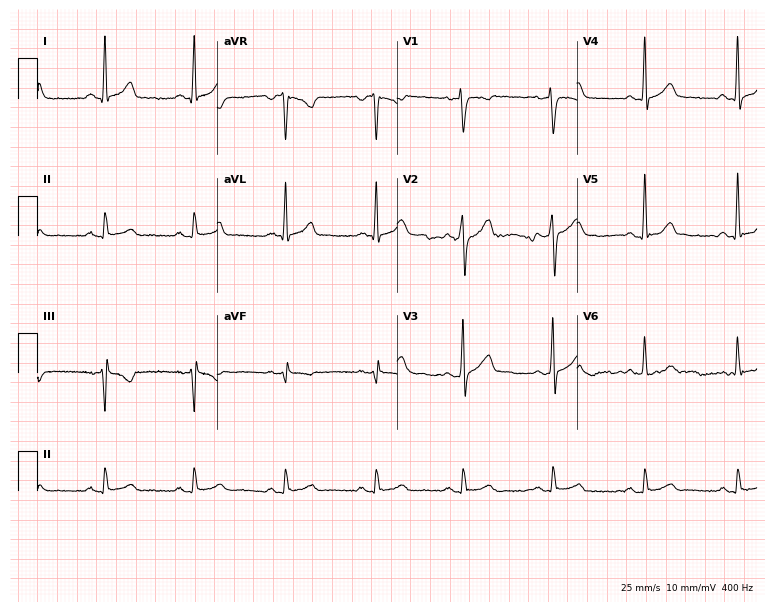
Standard 12-lead ECG recorded from a male patient, 38 years old. None of these six findings is recorded: first-degree AV block, right bundle branch block, left bundle branch block, sinus bradycardia, atrial fibrillation, sinus tachycardia. Only these six findings were labelled.